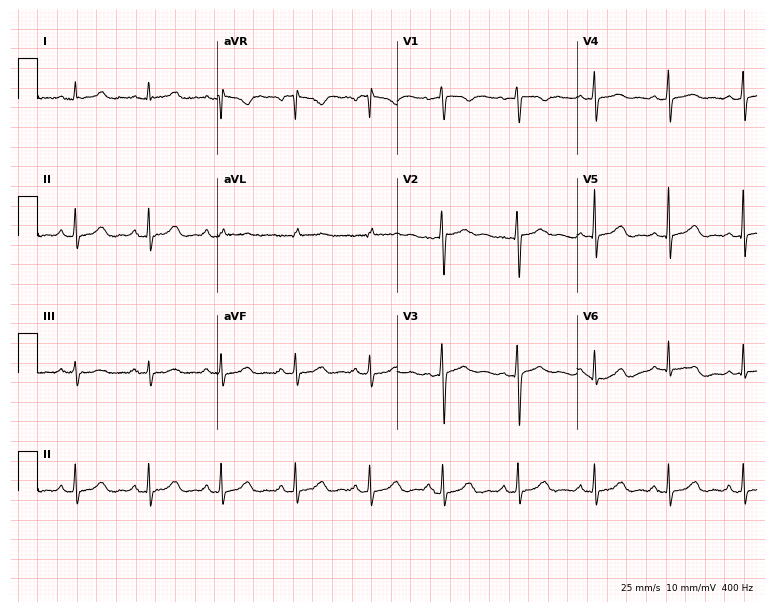
Electrocardiogram, a 34-year-old female. Overall reading on record: normal ECG.